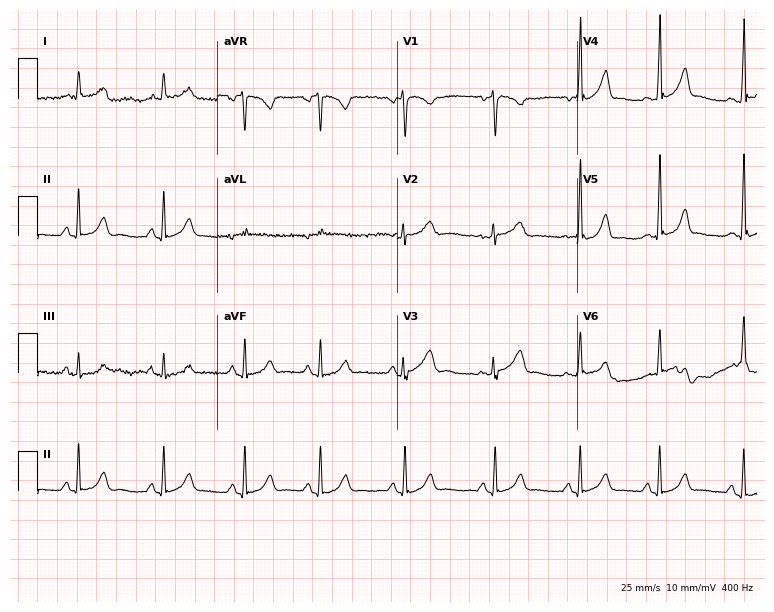
12-lead ECG (7.3-second recording at 400 Hz) from a 31-year-old woman. Labelled as a normal ECG.